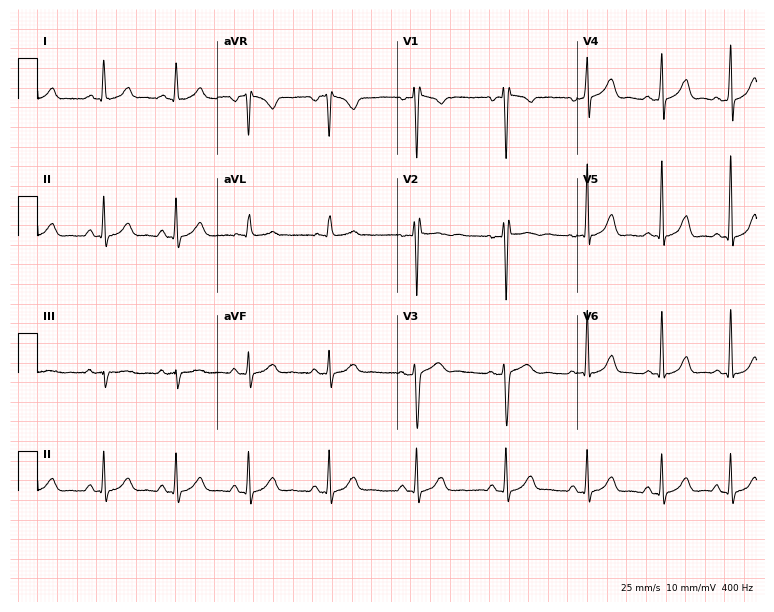
Resting 12-lead electrocardiogram. Patient: a 33-year-old female. None of these six findings is recorded: first-degree AV block, right bundle branch block, left bundle branch block, sinus bradycardia, atrial fibrillation, sinus tachycardia.